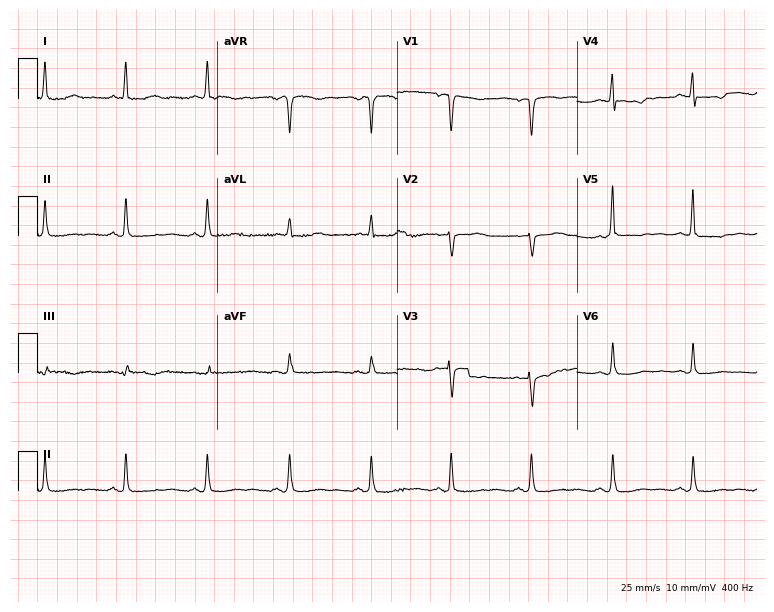
ECG — a 63-year-old woman. Labelled as a normal ECG.